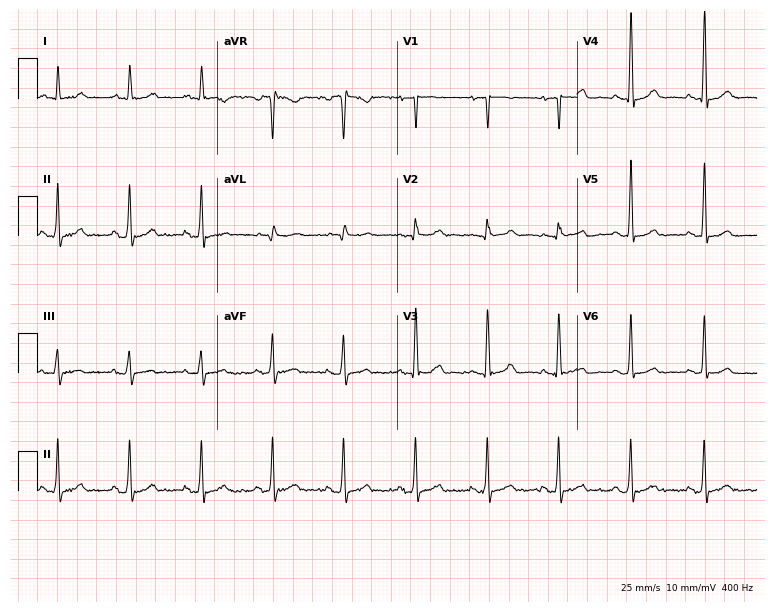
Resting 12-lead electrocardiogram (7.3-second recording at 400 Hz). Patient: a 67-year-old woman. None of these six findings is recorded: first-degree AV block, right bundle branch block, left bundle branch block, sinus bradycardia, atrial fibrillation, sinus tachycardia. Only these six findings were labelled.